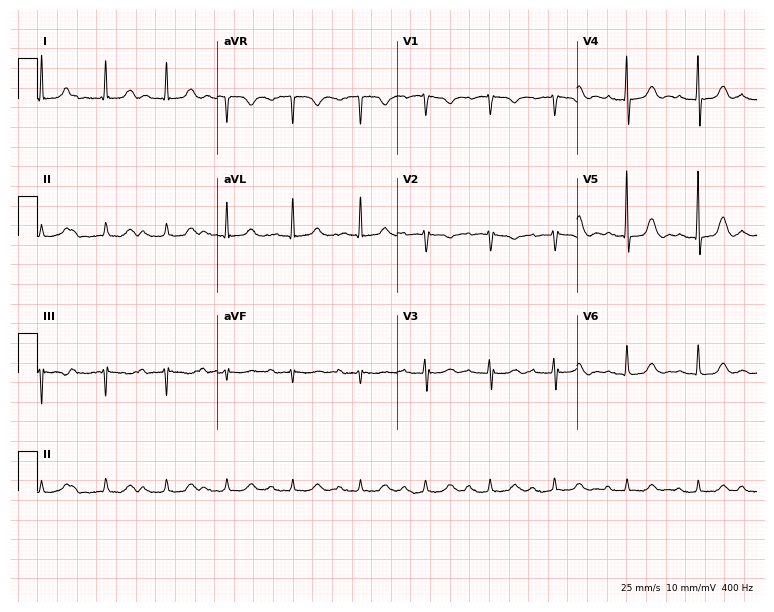
ECG (7.3-second recording at 400 Hz) — a woman, 81 years old. Findings include first-degree AV block.